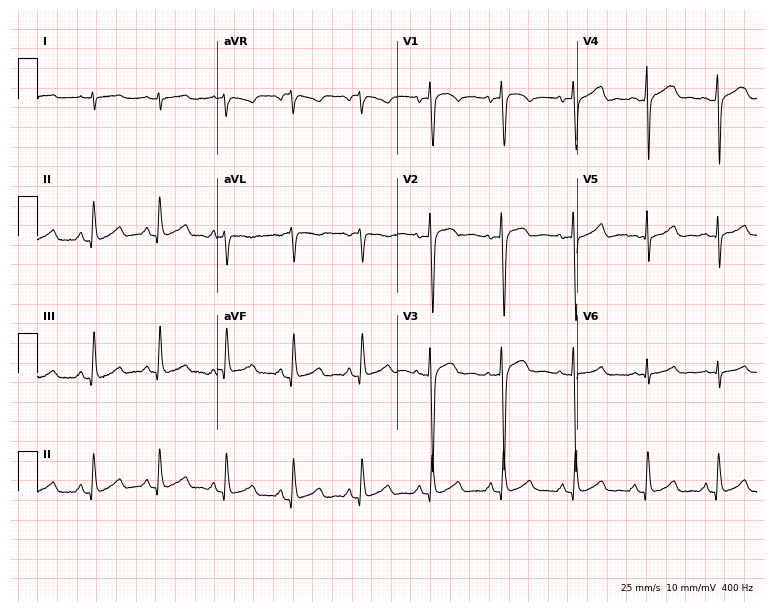
Resting 12-lead electrocardiogram. Patient: a male, 46 years old. Read as a normal ECG.